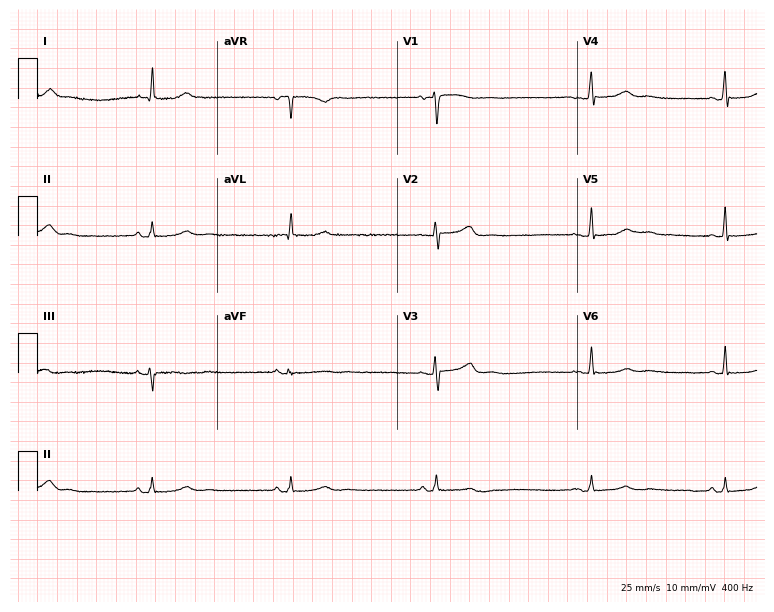
Resting 12-lead electrocardiogram (7.3-second recording at 400 Hz). Patient: a female, 43 years old. The tracing shows sinus bradycardia (a sinus rate of 50 beats per minute or less).